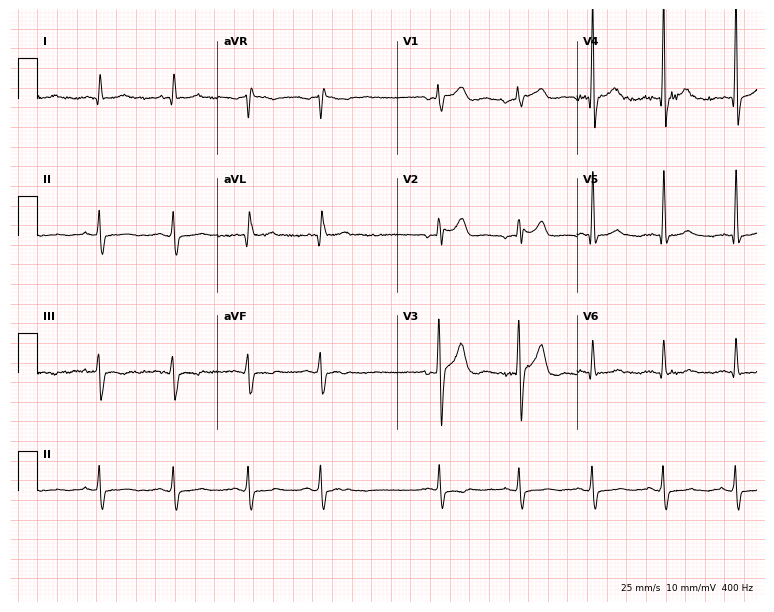
ECG (7.3-second recording at 400 Hz) — a man, 43 years old. Labelled as a normal ECG.